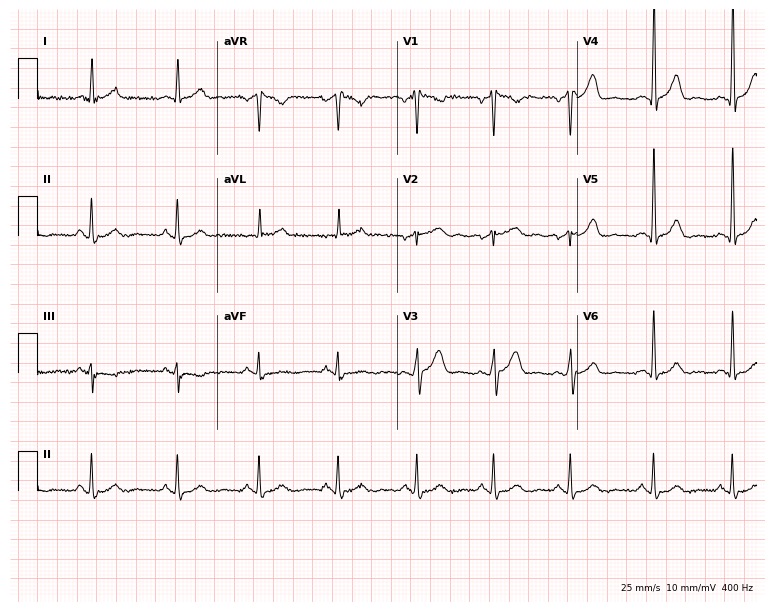
Standard 12-lead ECG recorded from a man, 45 years old. None of these six findings is recorded: first-degree AV block, right bundle branch block, left bundle branch block, sinus bradycardia, atrial fibrillation, sinus tachycardia.